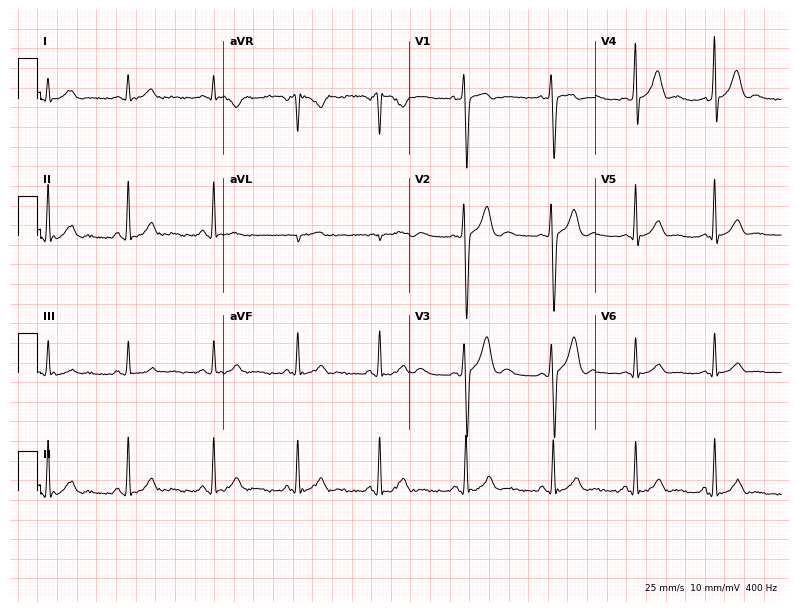
Electrocardiogram, a 17-year-old male. Overall reading on record: normal ECG.